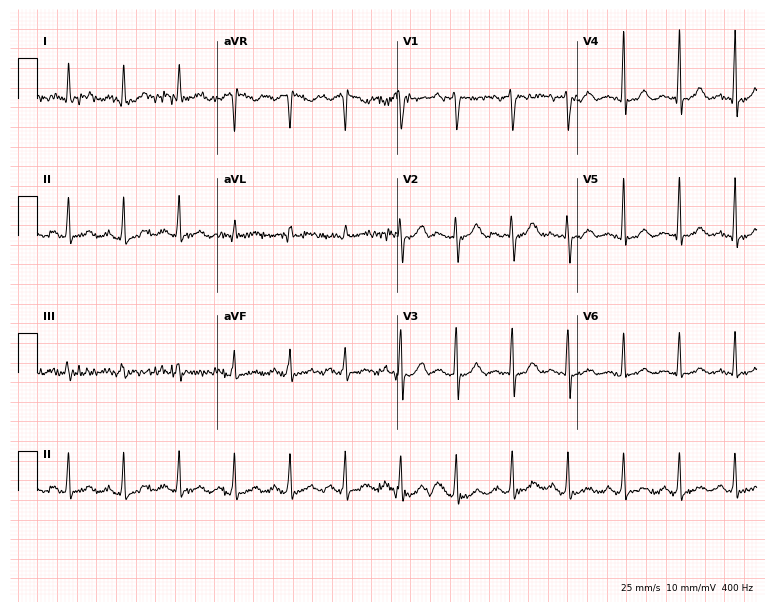
Resting 12-lead electrocardiogram (7.3-second recording at 400 Hz). Patient: a male, 50 years old. The tracing shows sinus tachycardia (a sinus rate of 100 beats per minute or more).